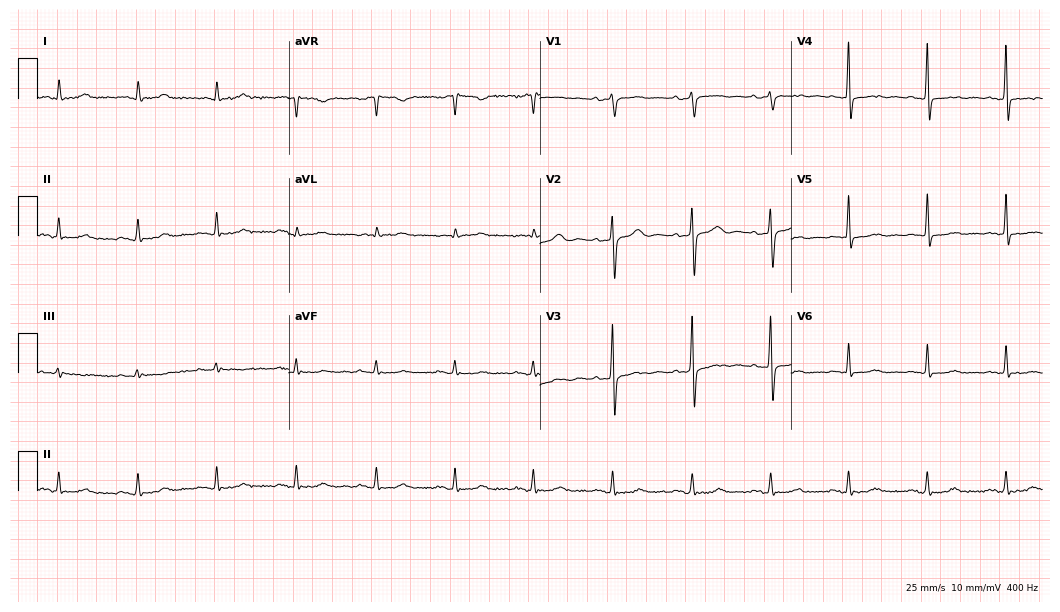
ECG (10.2-second recording at 400 Hz) — a woman, 82 years old. Screened for six findings — first-degree AV block, right bundle branch block, left bundle branch block, sinus bradycardia, atrial fibrillation, sinus tachycardia — none is recorded. Other findings, if any, are not listed.